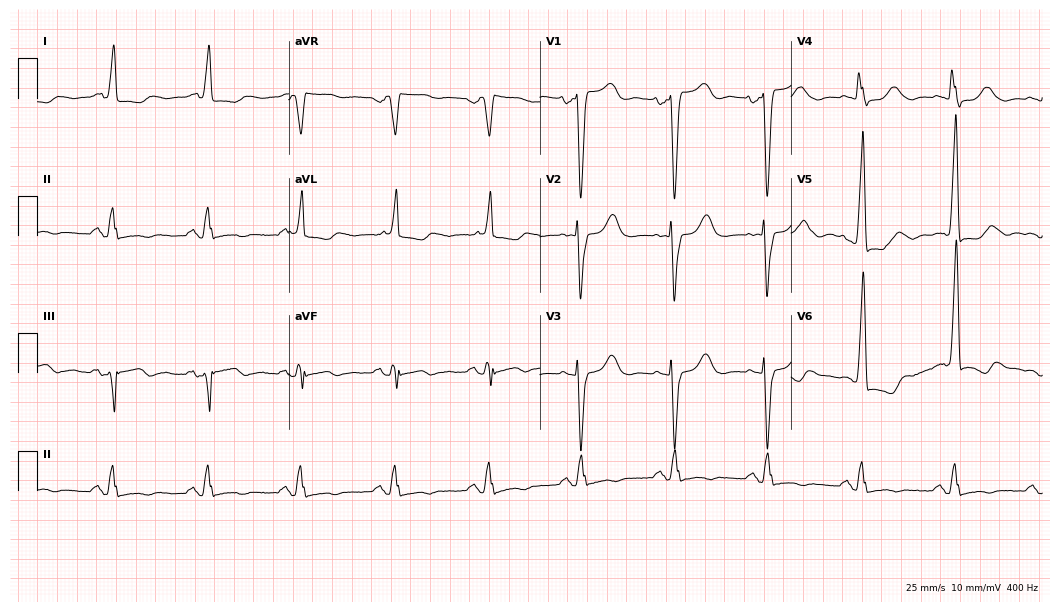
Electrocardiogram (10.2-second recording at 400 Hz), a 75-year-old female. Of the six screened findings (first-degree AV block, right bundle branch block, left bundle branch block, sinus bradycardia, atrial fibrillation, sinus tachycardia), none is recorded. Other findings, if any, are not listed.